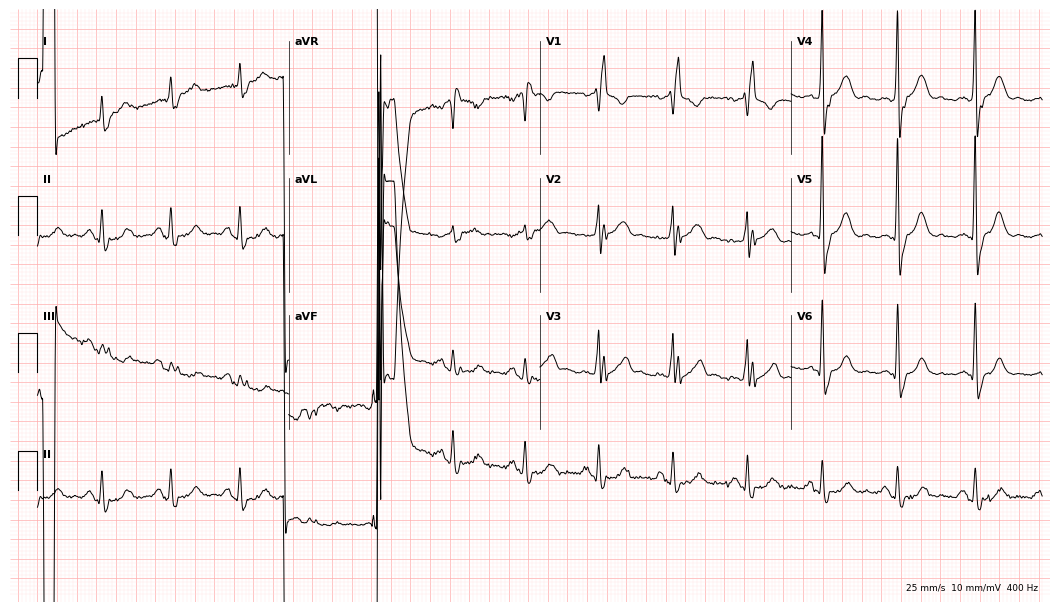
Electrocardiogram (10.2-second recording at 400 Hz), a male, 74 years old. Interpretation includes right bundle branch block (RBBB).